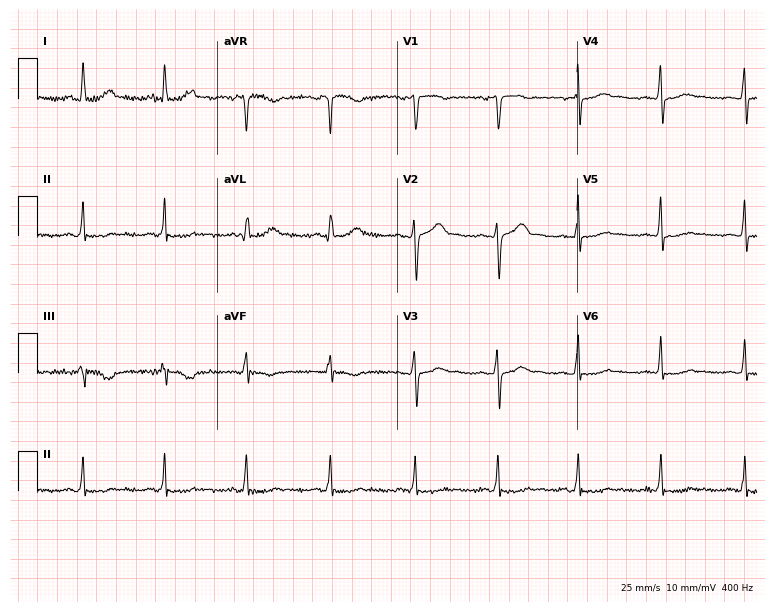
Electrocardiogram (7.3-second recording at 400 Hz), a 43-year-old female patient. Of the six screened findings (first-degree AV block, right bundle branch block, left bundle branch block, sinus bradycardia, atrial fibrillation, sinus tachycardia), none is recorded.